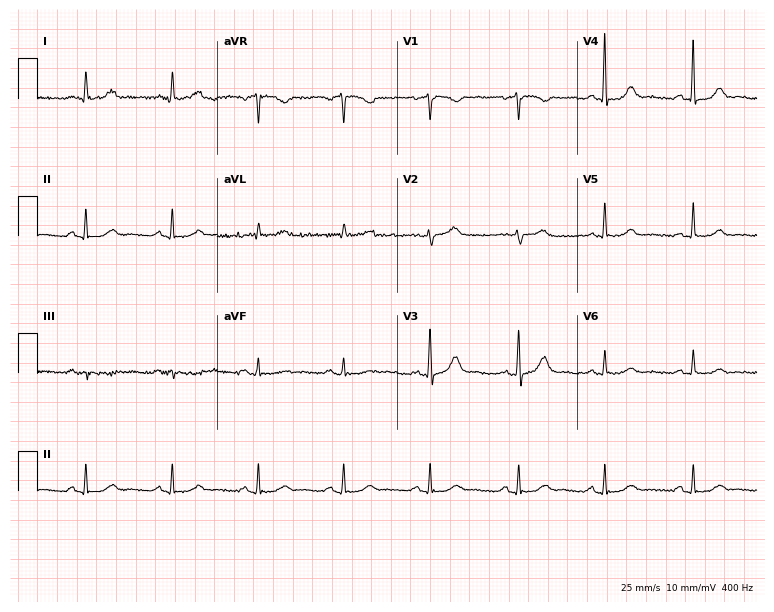
12-lead ECG from a woman, 79 years old (7.3-second recording at 400 Hz). Recorded interpretation: within normal limits.